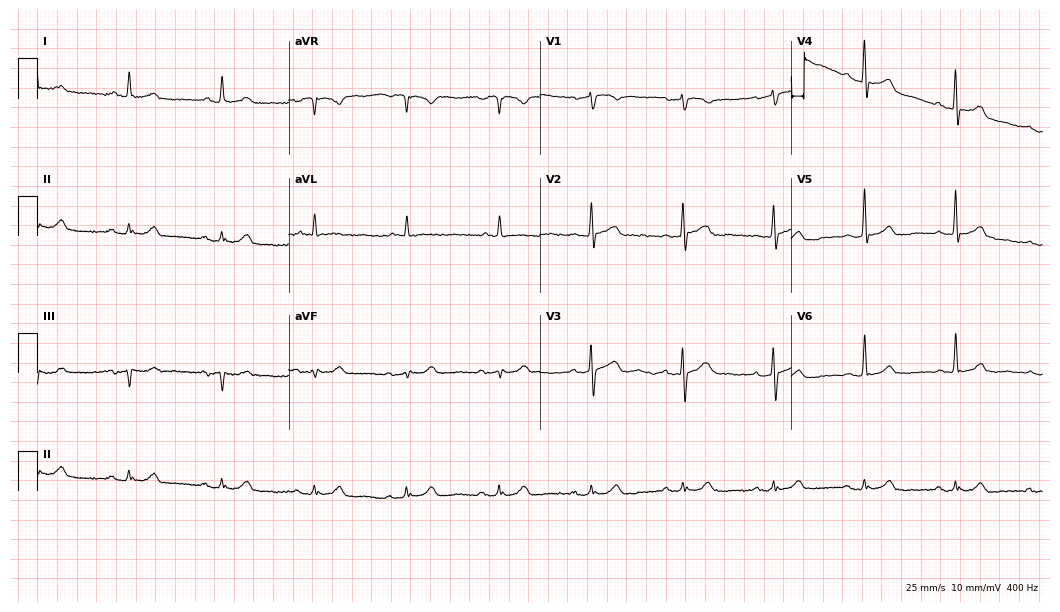
Electrocardiogram (10.2-second recording at 400 Hz), an 83-year-old man. Overall reading on record: normal ECG.